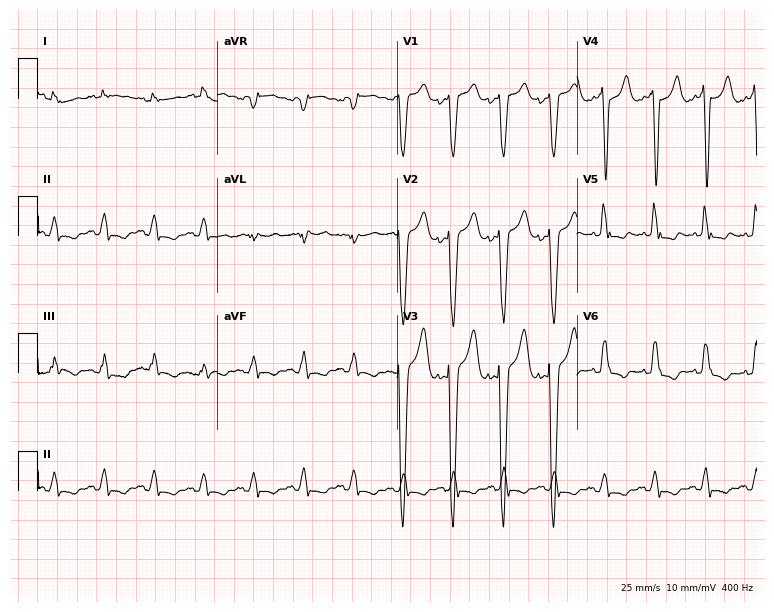
Standard 12-lead ECG recorded from a female patient, 81 years old (7.3-second recording at 400 Hz). The tracing shows sinus tachycardia (a sinus rate of 100 beats per minute or more).